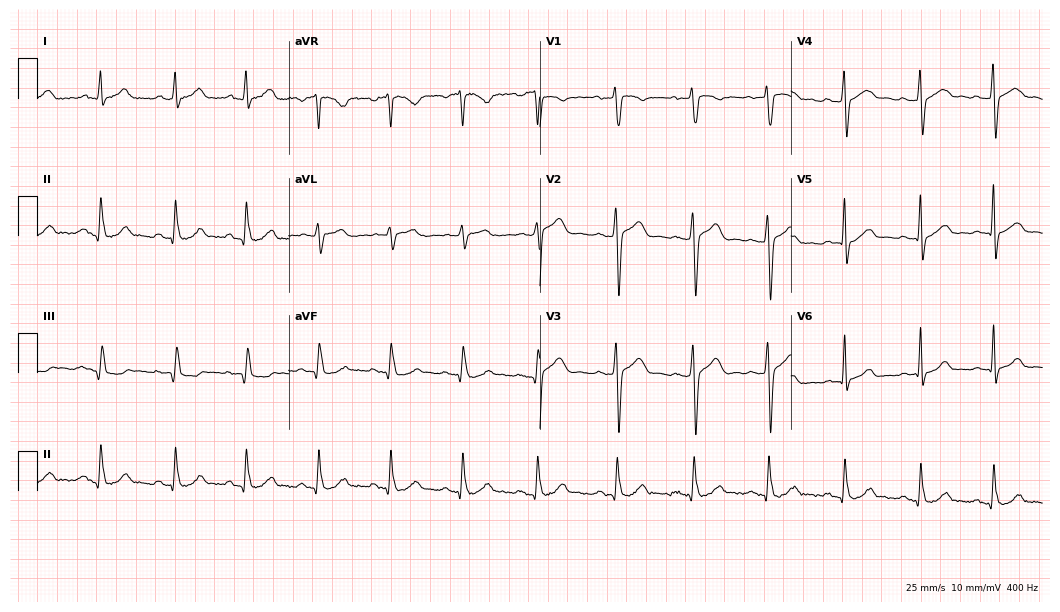
Electrocardiogram (10.2-second recording at 400 Hz), a female patient, 29 years old. Overall reading on record: normal ECG.